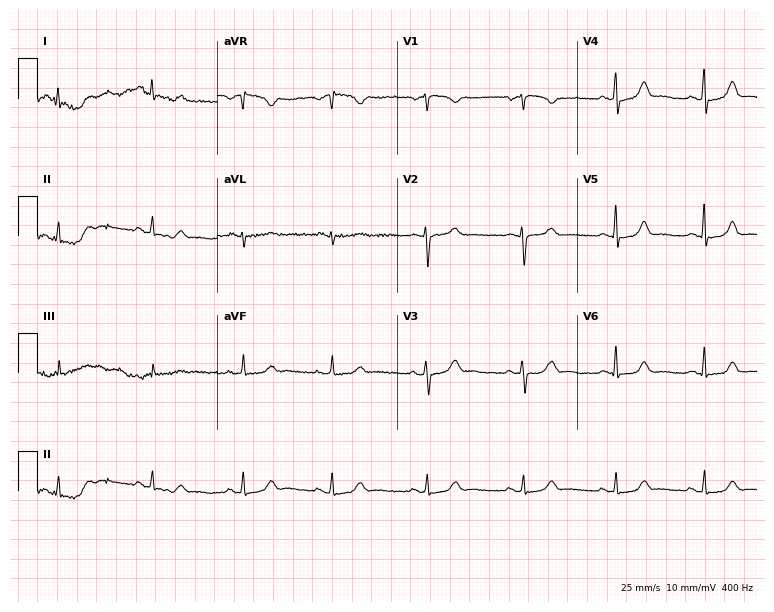
12-lead ECG (7.3-second recording at 400 Hz) from a 29-year-old woman. Labelled as a normal ECG.